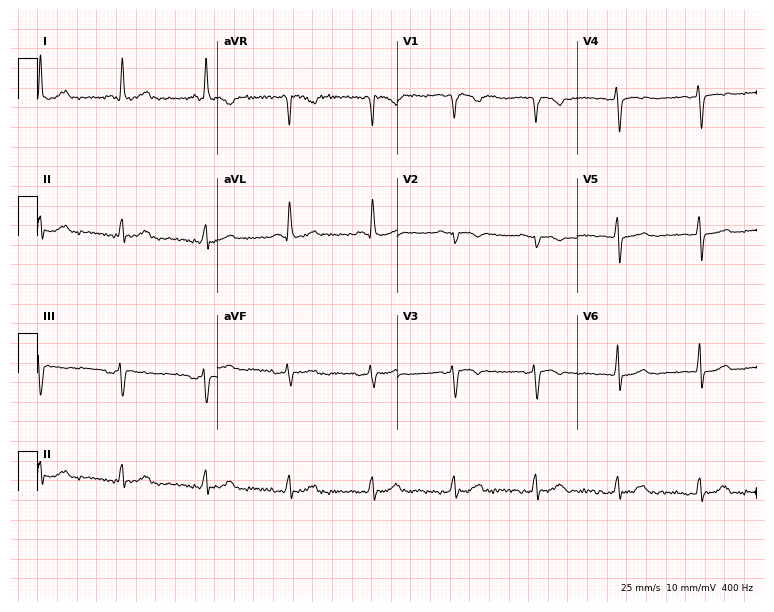
12-lead ECG from a woman, 66 years old. No first-degree AV block, right bundle branch block (RBBB), left bundle branch block (LBBB), sinus bradycardia, atrial fibrillation (AF) or sinus tachycardia recorded for this tracing. Other findings, if any, are not listed.